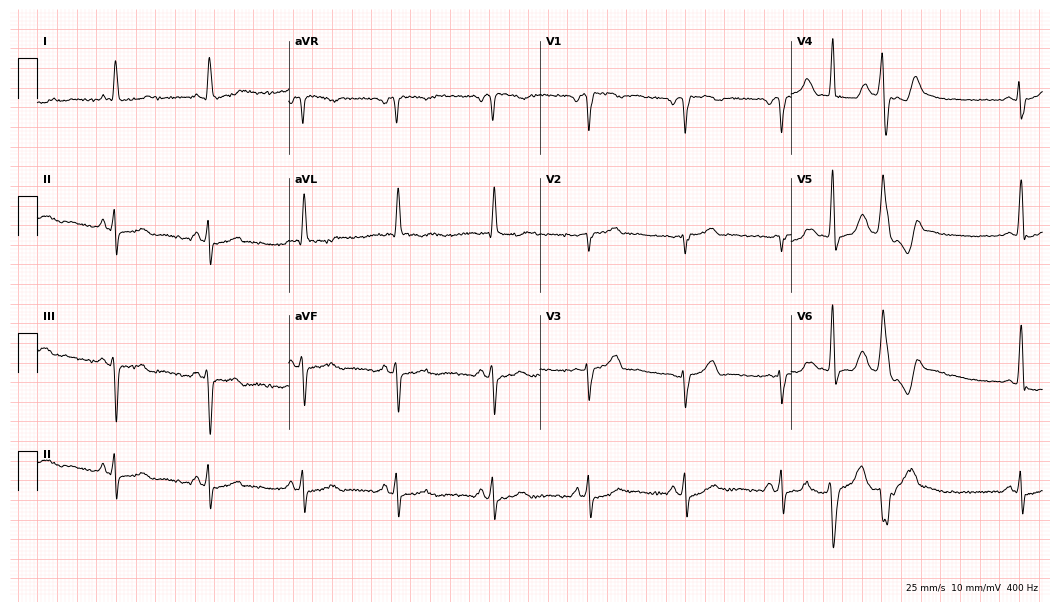
12-lead ECG from an 85-year-old man. Screened for six findings — first-degree AV block, right bundle branch block, left bundle branch block, sinus bradycardia, atrial fibrillation, sinus tachycardia — none is recorded.